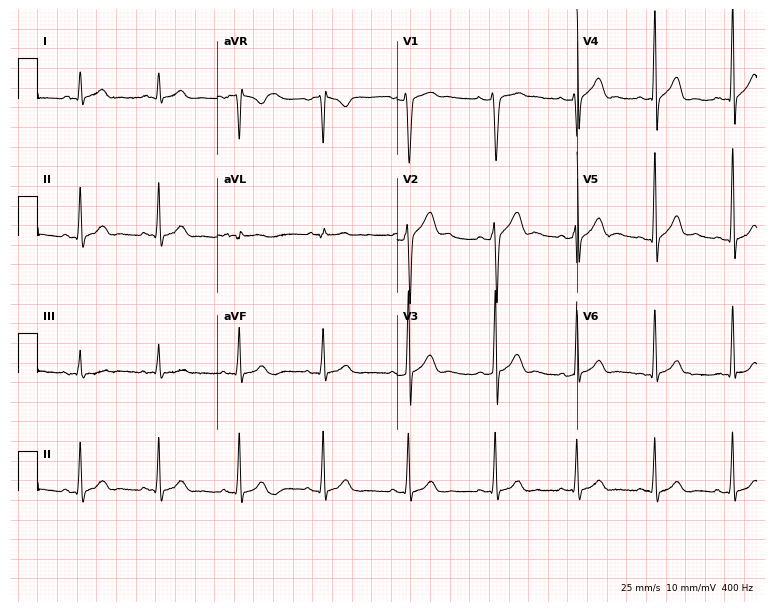
12-lead ECG from a male, 25 years old (7.3-second recording at 400 Hz). No first-degree AV block, right bundle branch block (RBBB), left bundle branch block (LBBB), sinus bradycardia, atrial fibrillation (AF) or sinus tachycardia recorded for this tracing. Findings outside these six are not listed.